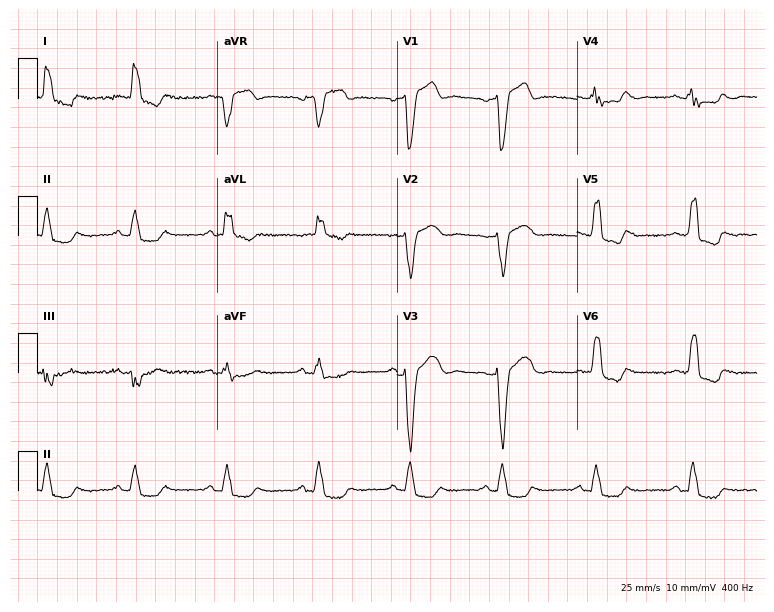
Resting 12-lead electrocardiogram (7.3-second recording at 400 Hz). Patient: a male, 61 years old. The tracing shows left bundle branch block (LBBB).